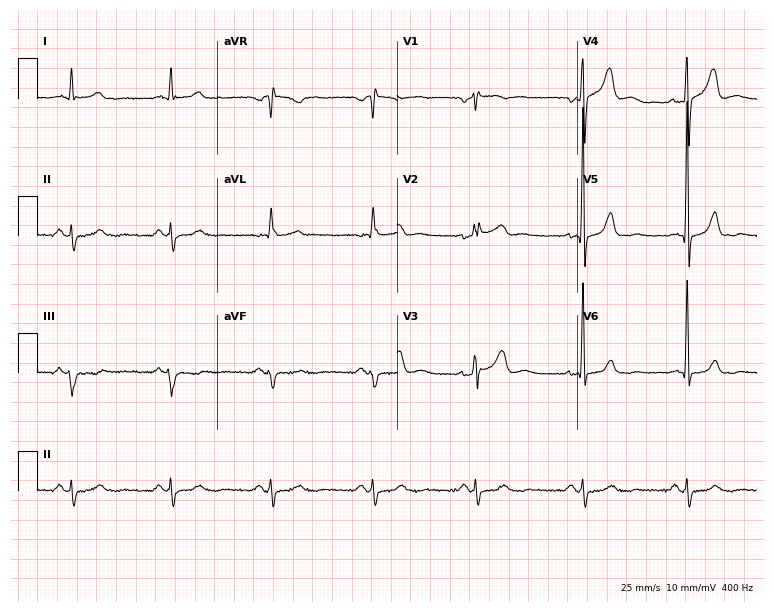
Resting 12-lead electrocardiogram. Patient: a male, 65 years old. None of these six findings is recorded: first-degree AV block, right bundle branch block, left bundle branch block, sinus bradycardia, atrial fibrillation, sinus tachycardia.